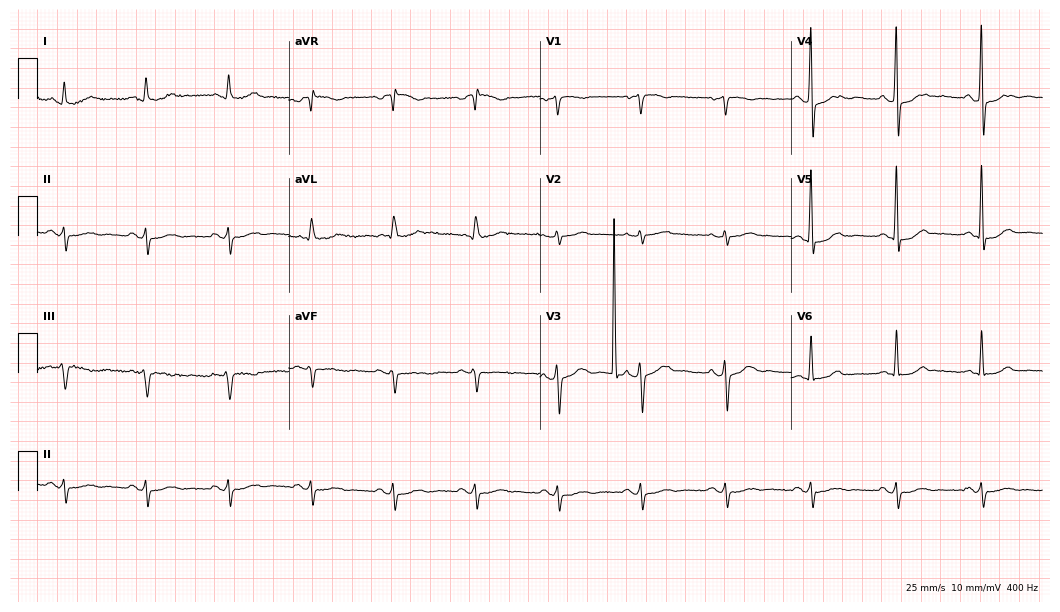
12-lead ECG from a man, 64 years old. Screened for six findings — first-degree AV block, right bundle branch block, left bundle branch block, sinus bradycardia, atrial fibrillation, sinus tachycardia — none is recorded. Only these six findings were labelled.